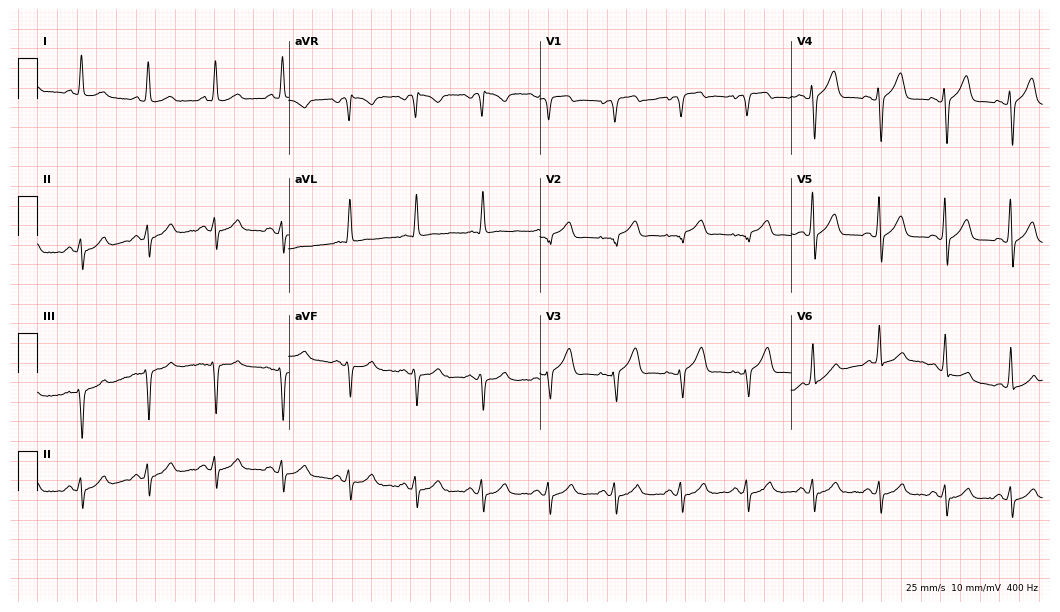
ECG — a 57-year-old man. Screened for six findings — first-degree AV block, right bundle branch block (RBBB), left bundle branch block (LBBB), sinus bradycardia, atrial fibrillation (AF), sinus tachycardia — none is recorded. Findings outside these six are not listed.